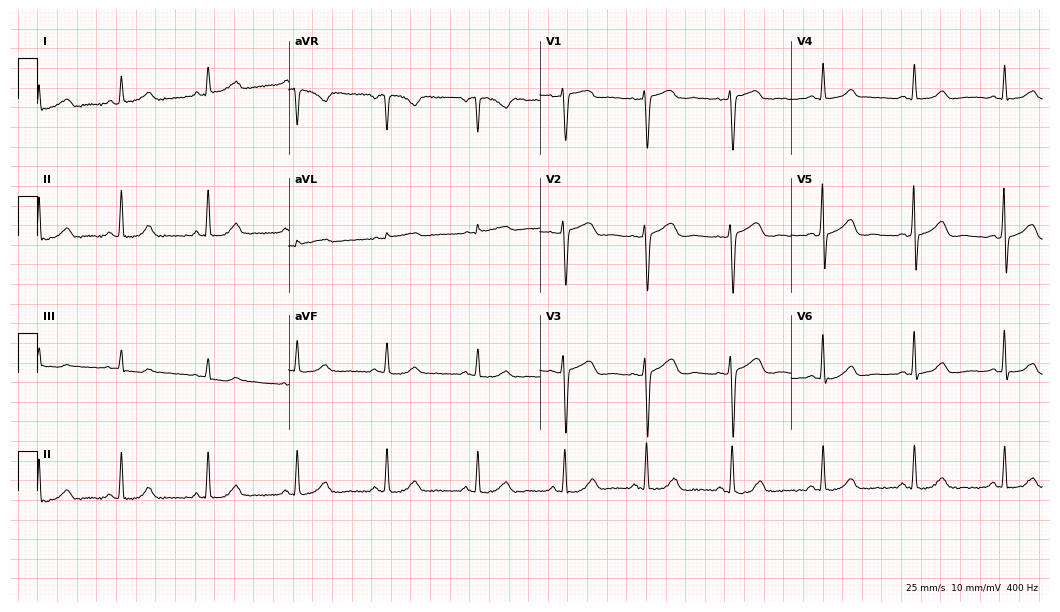
Resting 12-lead electrocardiogram. Patient: a 52-year-old female. None of these six findings is recorded: first-degree AV block, right bundle branch block, left bundle branch block, sinus bradycardia, atrial fibrillation, sinus tachycardia. Only these six findings were labelled.